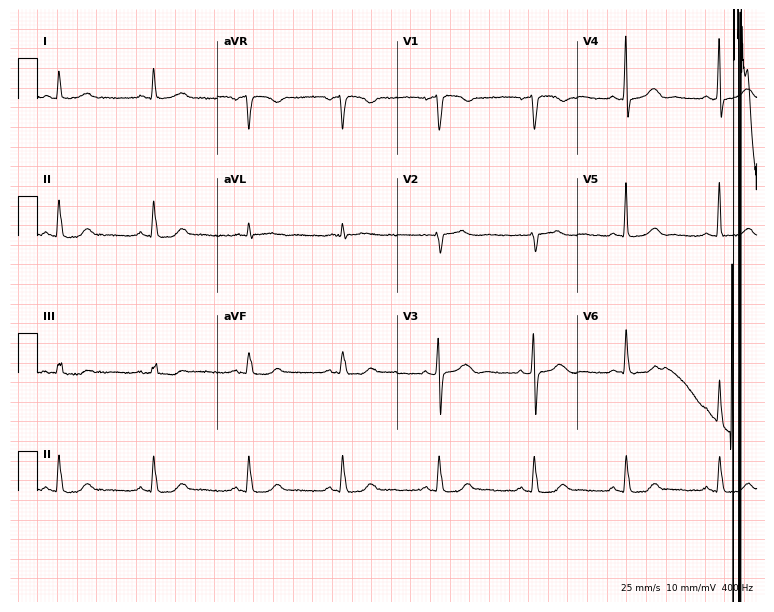
Standard 12-lead ECG recorded from a 51-year-old woman (7.3-second recording at 400 Hz). None of these six findings is recorded: first-degree AV block, right bundle branch block (RBBB), left bundle branch block (LBBB), sinus bradycardia, atrial fibrillation (AF), sinus tachycardia. Findings outside these six are not listed.